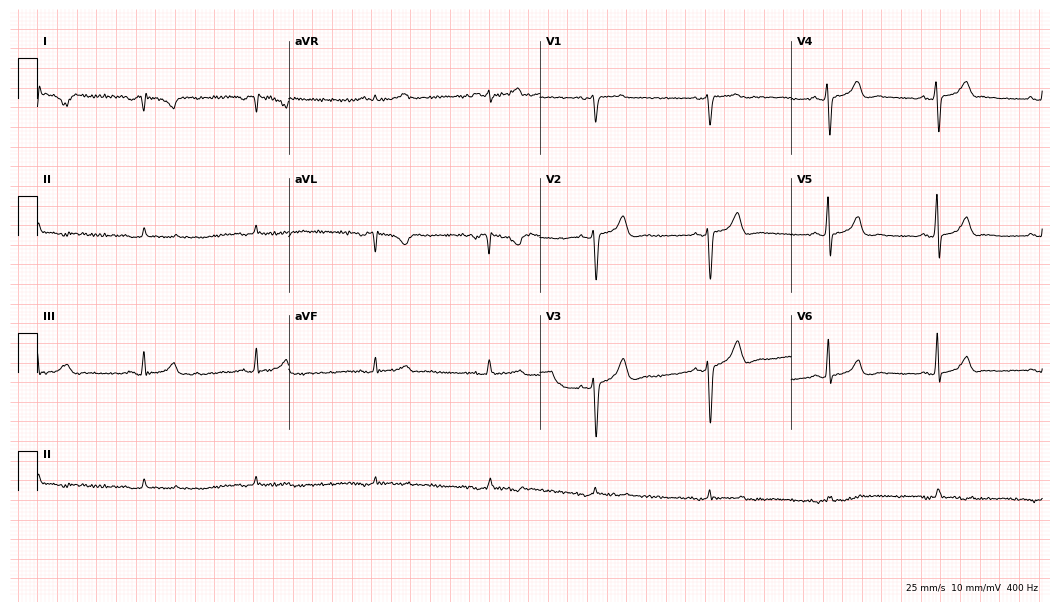
ECG (10.2-second recording at 400 Hz) — a 37-year-old male patient. Screened for six findings — first-degree AV block, right bundle branch block, left bundle branch block, sinus bradycardia, atrial fibrillation, sinus tachycardia — none is recorded. Findings outside these six are not listed.